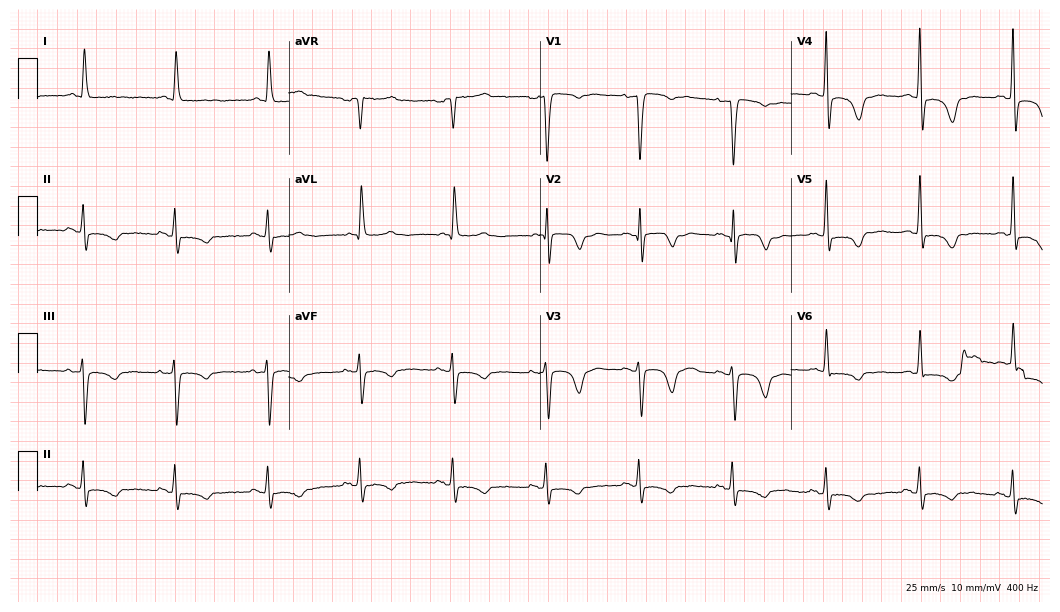
Electrocardiogram, a female, 64 years old. Of the six screened findings (first-degree AV block, right bundle branch block (RBBB), left bundle branch block (LBBB), sinus bradycardia, atrial fibrillation (AF), sinus tachycardia), none is recorded.